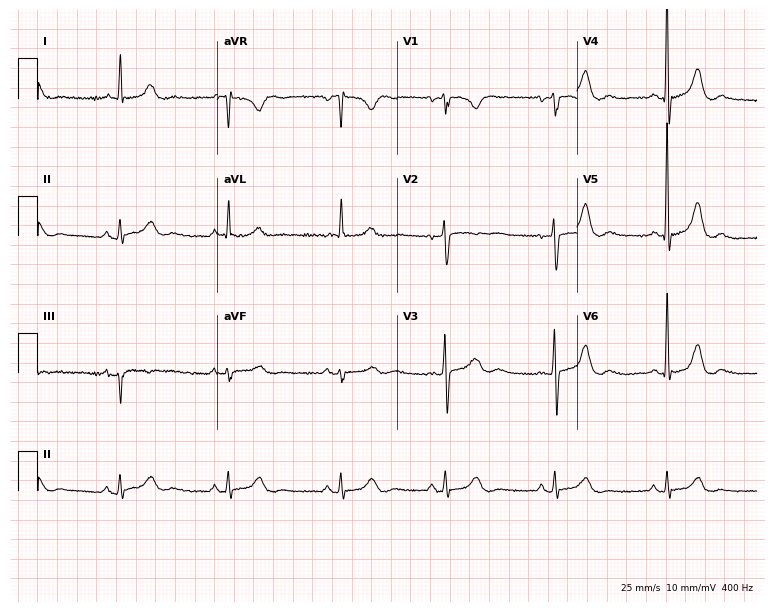
12-lead ECG from a 66-year-old female patient. No first-degree AV block, right bundle branch block, left bundle branch block, sinus bradycardia, atrial fibrillation or sinus tachycardia recorded for this tracing.